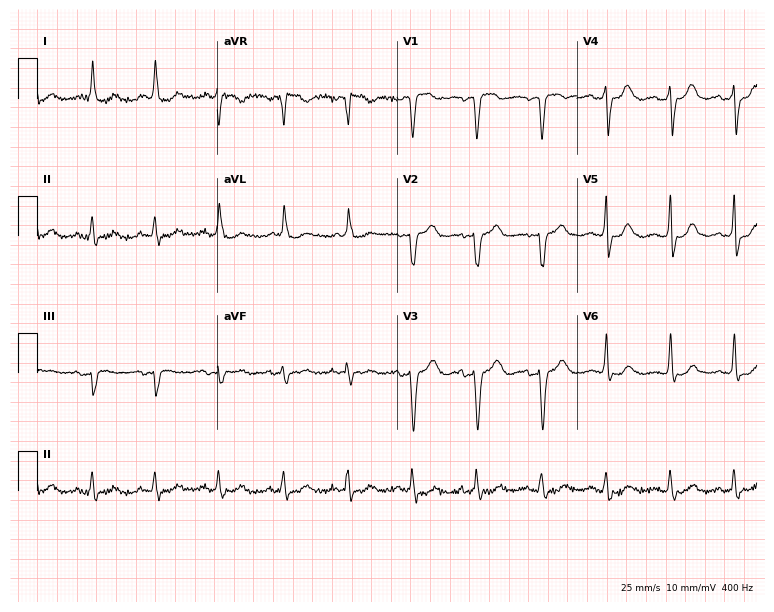
Electrocardiogram (7.3-second recording at 400 Hz), an 84-year-old female patient. Of the six screened findings (first-degree AV block, right bundle branch block (RBBB), left bundle branch block (LBBB), sinus bradycardia, atrial fibrillation (AF), sinus tachycardia), none is recorded. Only these six findings were labelled.